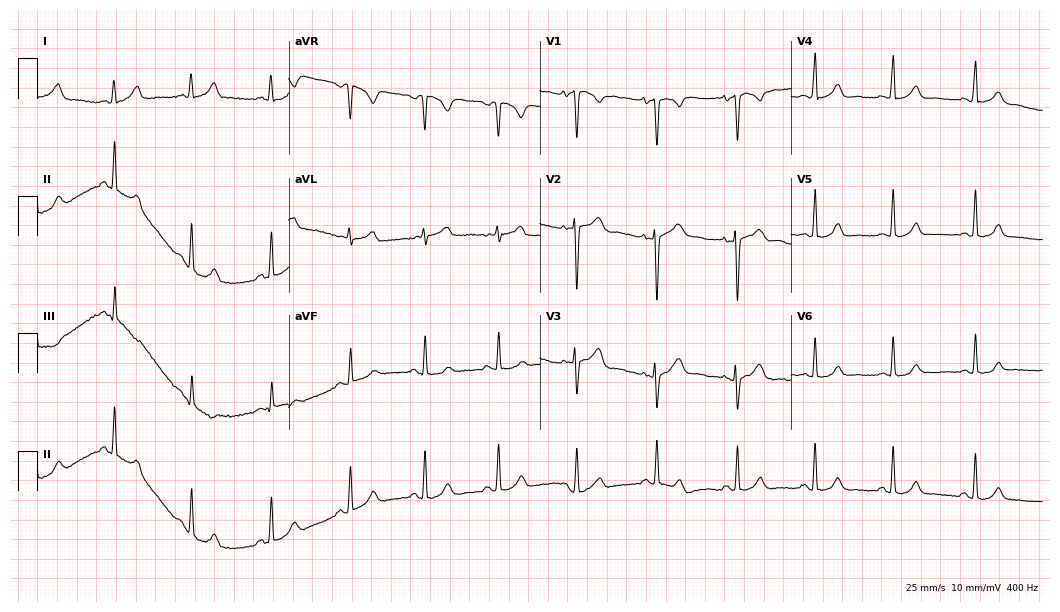
Electrocardiogram, a woman, 25 years old. Overall reading on record: normal ECG.